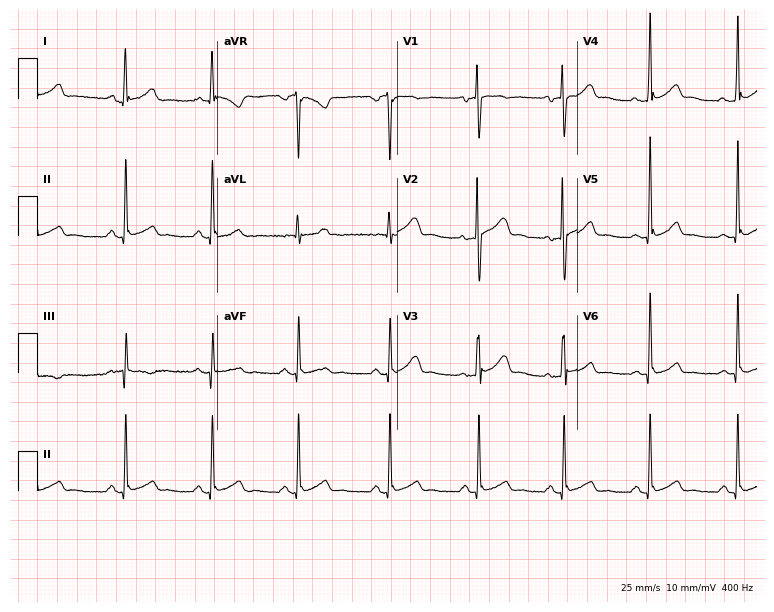
Standard 12-lead ECG recorded from a female patient, 34 years old (7.3-second recording at 400 Hz). None of these six findings is recorded: first-degree AV block, right bundle branch block (RBBB), left bundle branch block (LBBB), sinus bradycardia, atrial fibrillation (AF), sinus tachycardia. Findings outside these six are not listed.